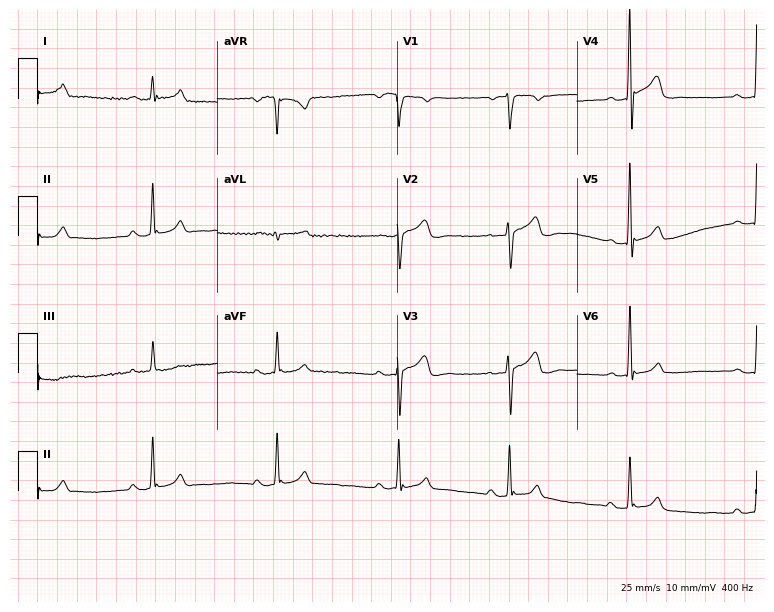
Electrocardiogram, a 30-year-old male. Of the six screened findings (first-degree AV block, right bundle branch block, left bundle branch block, sinus bradycardia, atrial fibrillation, sinus tachycardia), none is recorded. Findings outside these six are not listed.